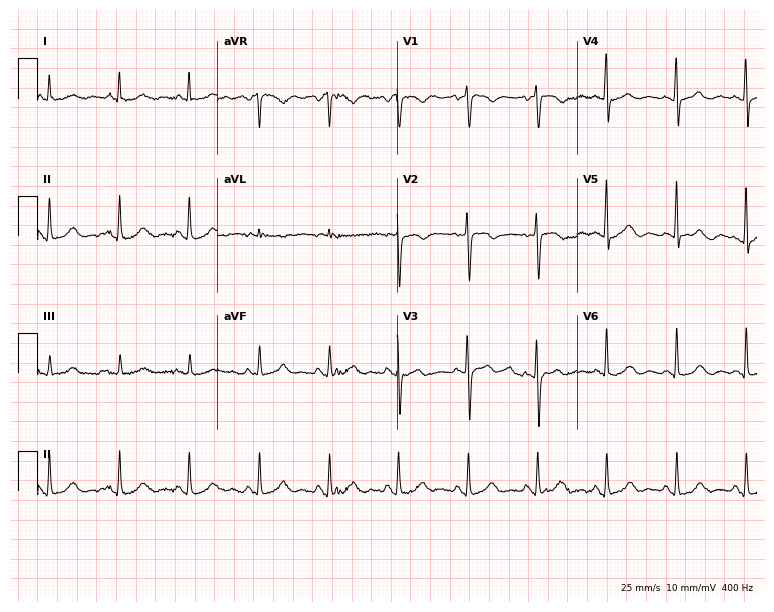
Resting 12-lead electrocardiogram. Patient: a 66-year-old female. None of these six findings is recorded: first-degree AV block, right bundle branch block, left bundle branch block, sinus bradycardia, atrial fibrillation, sinus tachycardia.